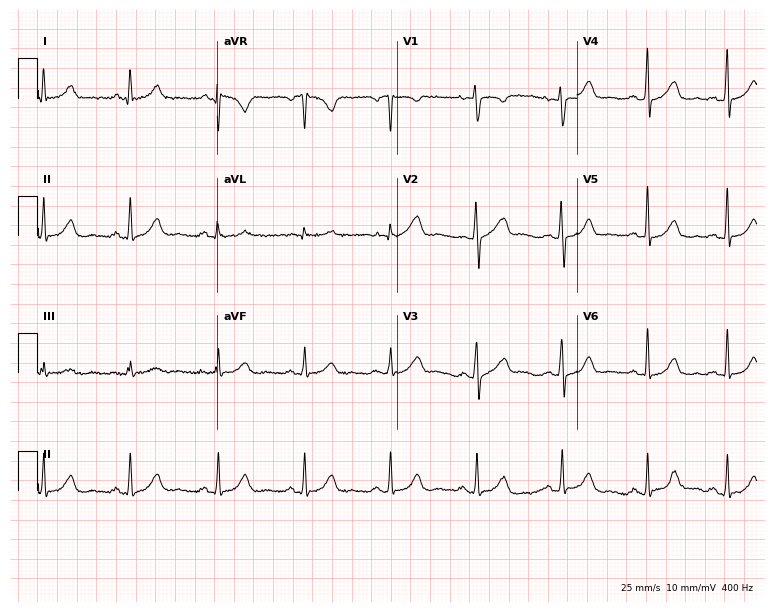
ECG (7.3-second recording at 400 Hz) — a female patient, 40 years old. Labelled as a normal ECG.